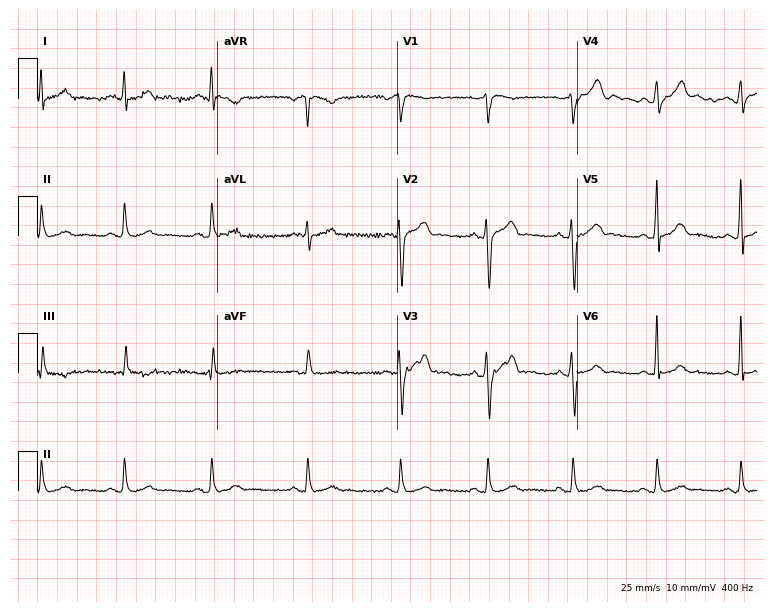
Resting 12-lead electrocardiogram. Patient: a man, 42 years old. None of these six findings is recorded: first-degree AV block, right bundle branch block, left bundle branch block, sinus bradycardia, atrial fibrillation, sinus tachycardia.